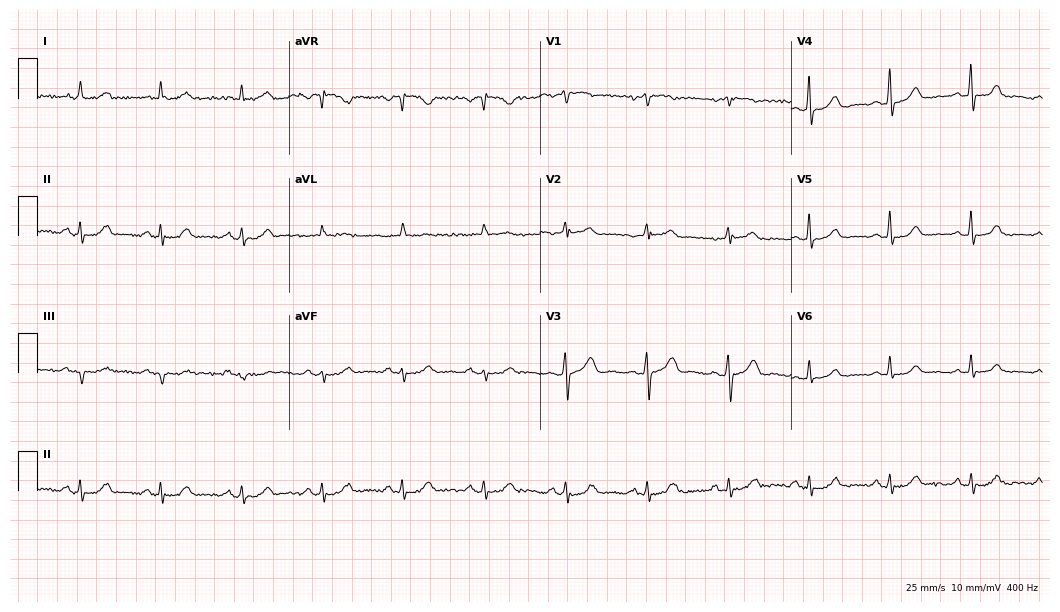
12-lead ECG from a 72-year-old woman. Recorded interpretation: within normal limits.